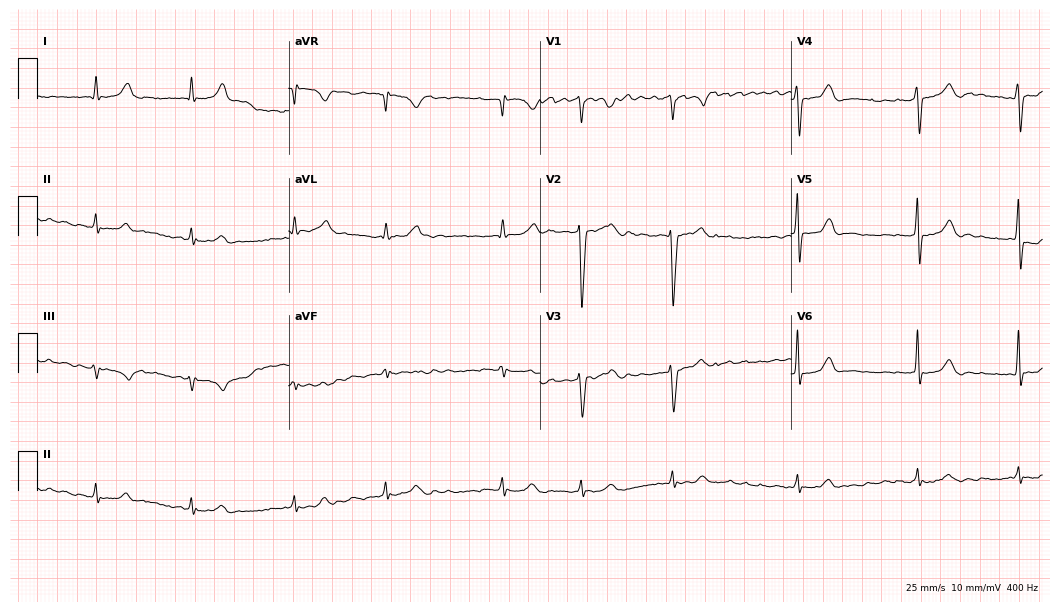
Resting 12-lead electrocardiogram (10.2-second recording at 400 Hz). Patient: a 63-year-old male. None of these six findings is recorded: first-degree AV block, right bundle branch block (RBBB), left bundle branch block (LBBB), sinus bradycardia, atrial fibrillation (AF), sinus tachycardia.